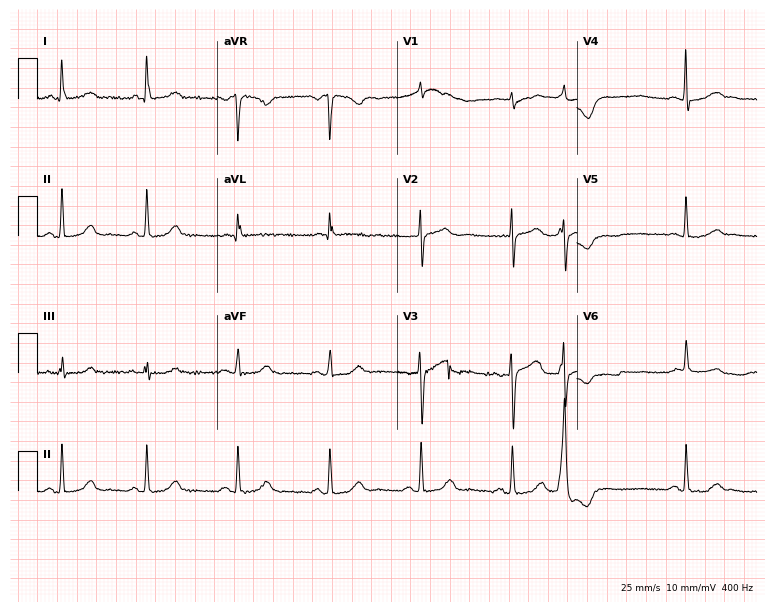
Standard 12-lead ECG recorded from a 65-year-old female patient (7.3-second recording at 400 Hz). Read as a normal ECG.